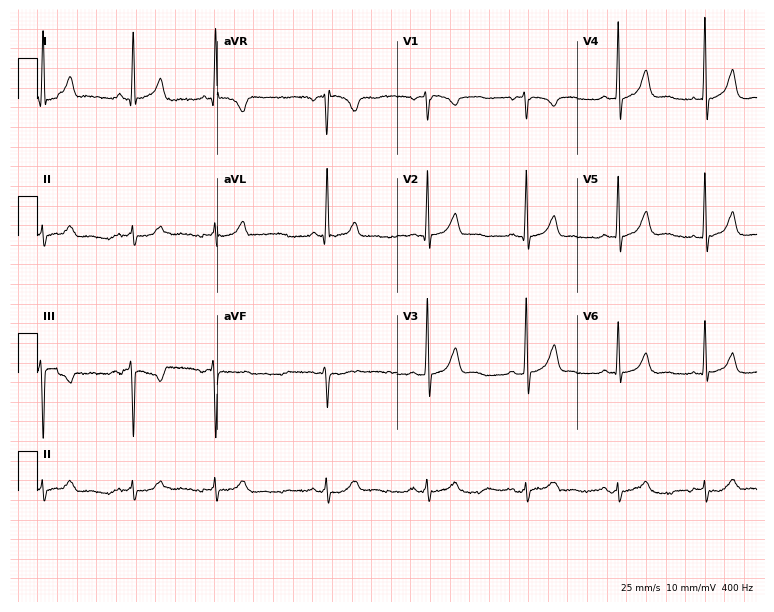
Standard 12-lead ECG recorded from a man, 43 years old. Read as a normal ECG.